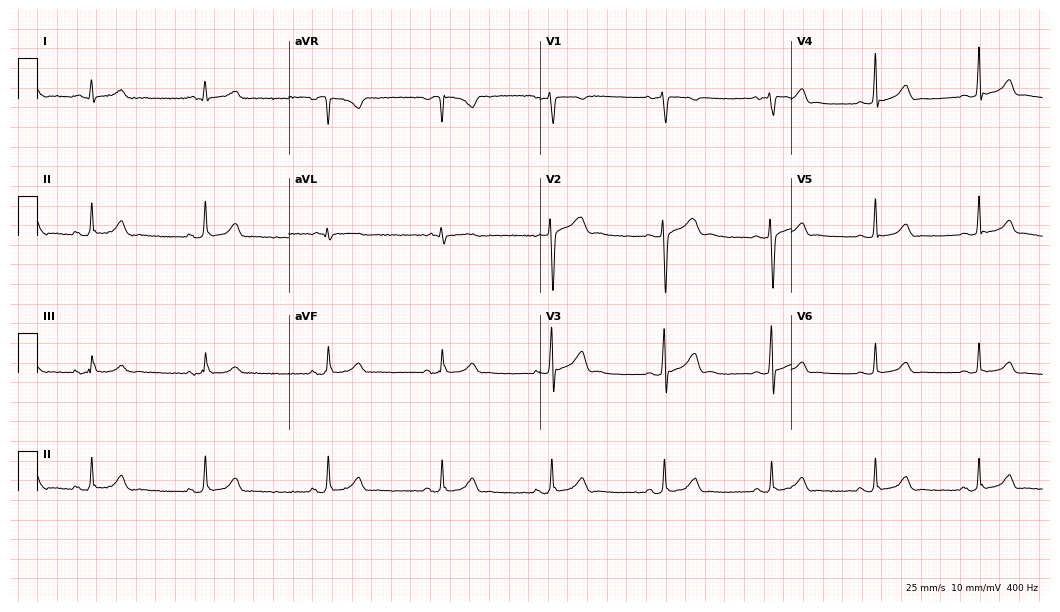
12-lead ECG from a 25-year-old woman (10.2-second recording at 400 Hz). Recorded interpretation: within normal limits.